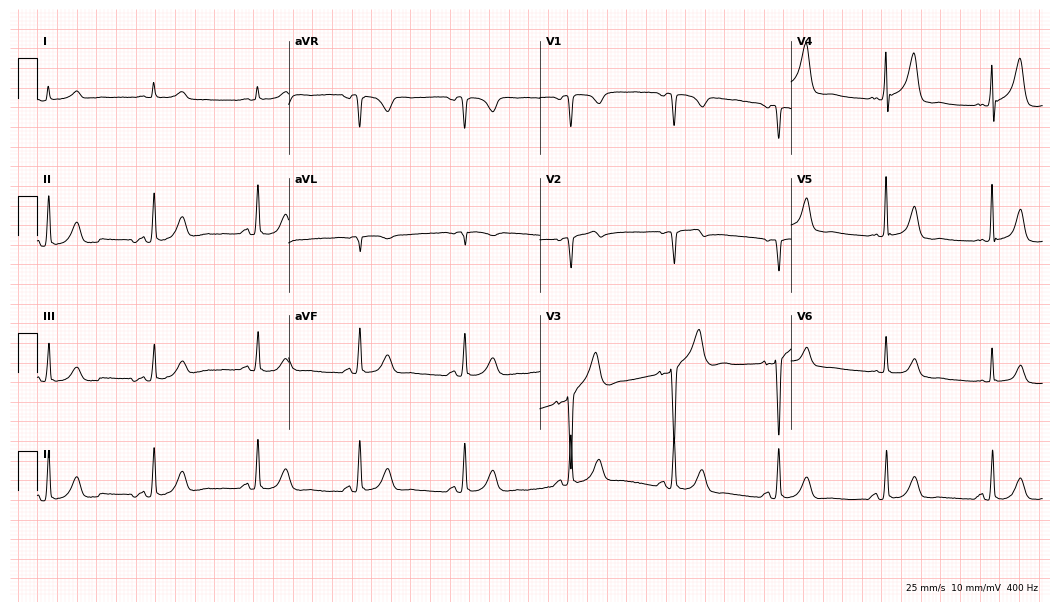
12-lead ECG from a 64-year-old man. No first-degree AV block, right bundle branch block, left bundle branch block, sinus bradycardia, atrial fibrillation or sinus tachycardia recorded for this tracing.